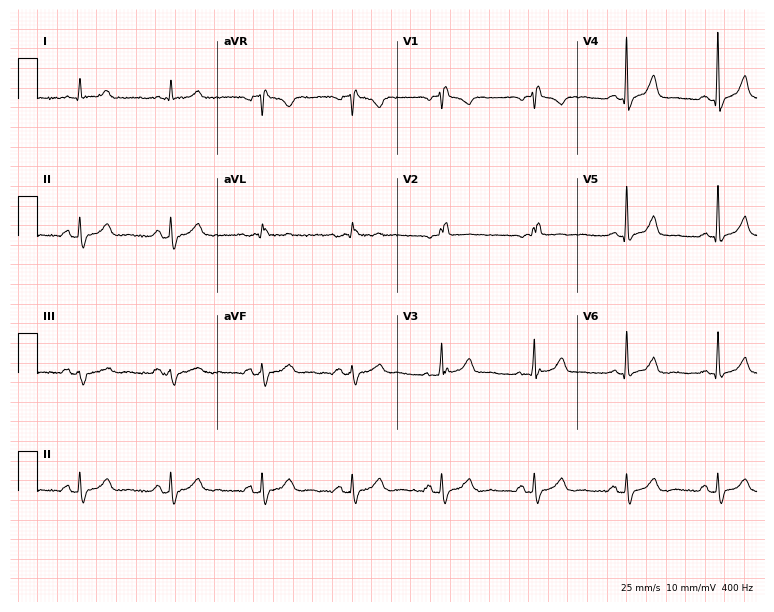
ECG (7.3-second recording at 400 Hz) — a male patient, 77 years old. Screened for six findings — first-degree AV block, right bundle branch block, left bundle branch block, sinus bradycardia, atrial fibrillation, sinus tachycardia — none is recorded.